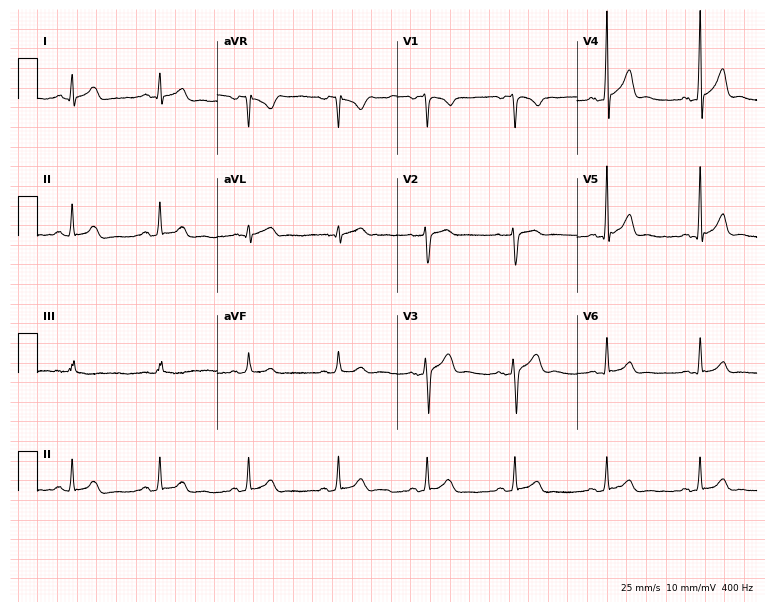
Electrocardiogram (7.3-second recording at 400 Hz), a 25-year-old man. Overall reading on record: normal ECG.